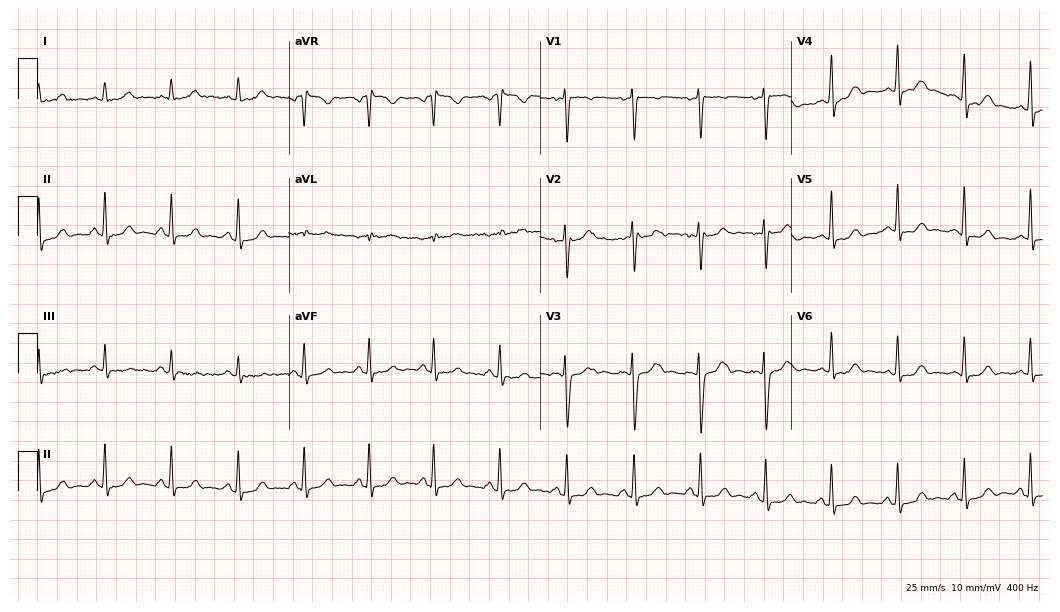
Resting 12-lead electrocardiogram. Patient: a 40-year-old female. Read as a normal ECG.